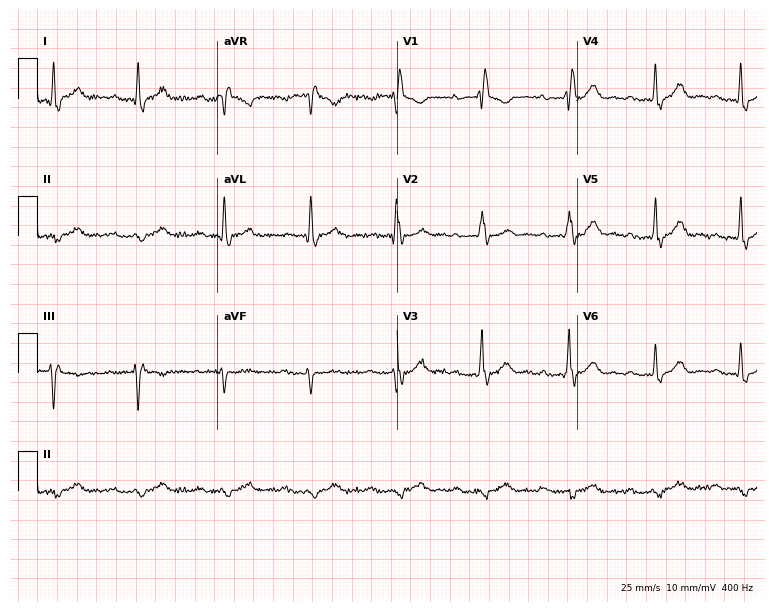
Resting 12-lead electrocardiogram (7.3-second recording at 400 Hz). Patient: a male, 67 years old. None of these six findings is recorded: first-degree AV block, right bundle branch block, left bundle branch block, sinus bradycardia, atrial fibrillation, sinus tachycardia.